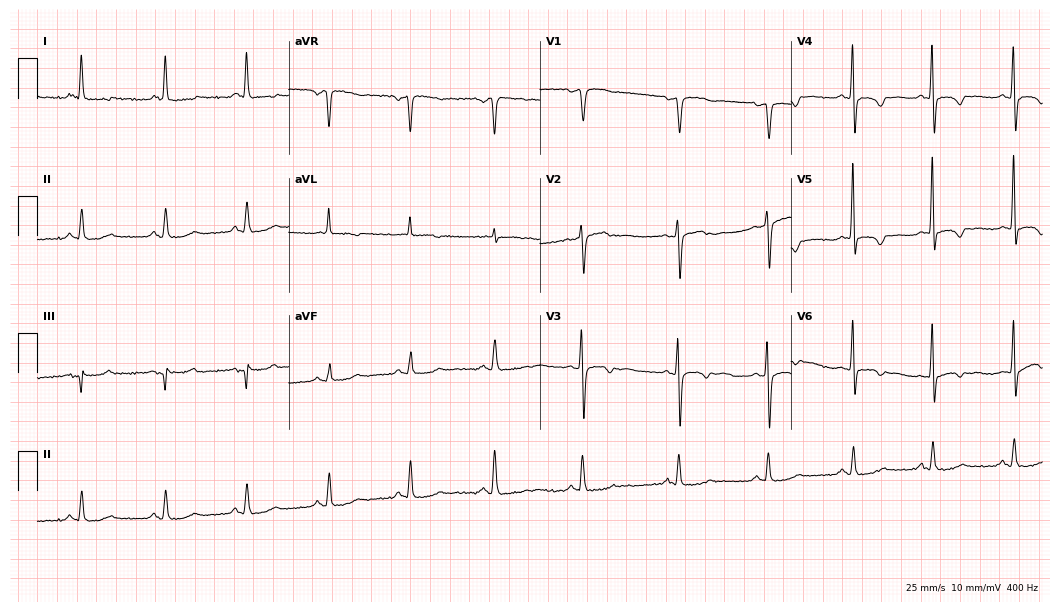
12-lead ECG from a 64-year-old female patient. No first-degree AV block, right bundle branch block, left bundle branch block, sinus bradycardia, atrial fibrillation or sinus tachycardia recorded for this tracing. Other findings, if any, are not listed.